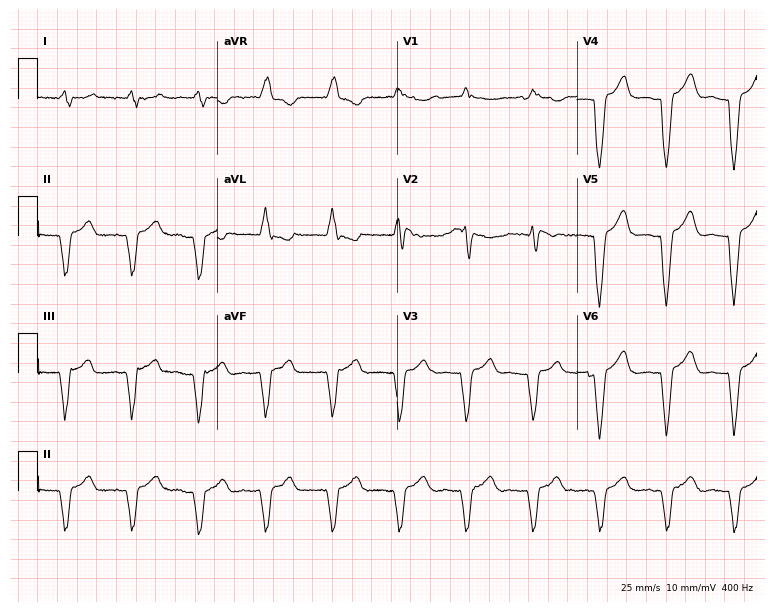
ECG — a 77-year-old female. Screened for six findings — first-degree AV block, right bundle branch block (RBBB), left bundle branch block (LBBB), sinus bradycardia, atrial fibrillation (AF), sinus tachycardia — none is recorded.